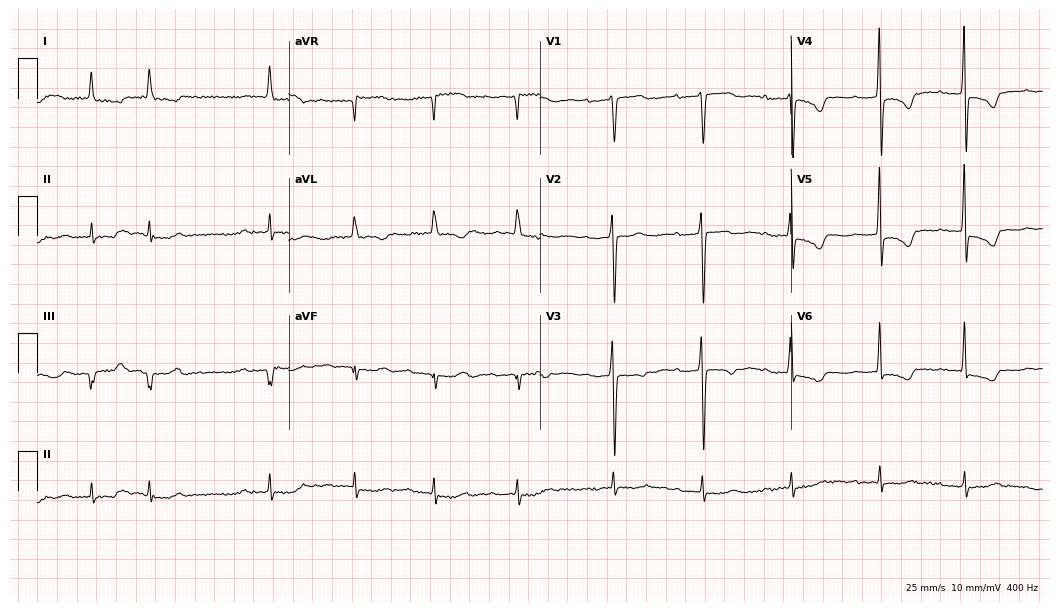
ECG (10.2-second recording at 400 Hz) — an 83-year-old female patient. Screened for six findings — first-degree AV block, right bundle branch block, left bundle branch block, sinus bradycardia, atrial fibrillation, sinus tachycardia — none is recorded. Other findings, if any, are not listed.